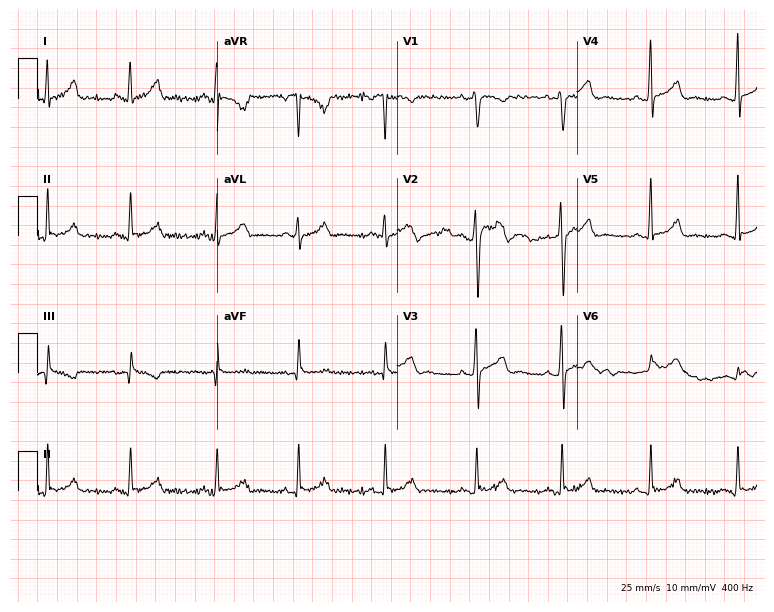
Resting 12-lead electrocardiogram. Patient: a female, 34 years old. Read as a normal ECG.